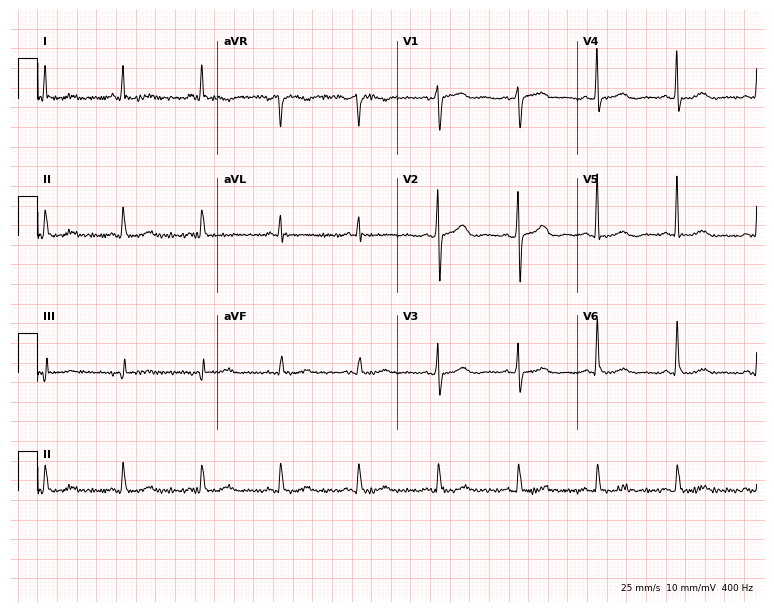
ECG (7.3-second recording at 400 Hz) — a 74-year-old female. Screened for six findings — first-degree AV block, right bundle branch block, left bundle branch block, sinus bradycardia, atrial fibrillation, sinus tachycardia — none is recorded.